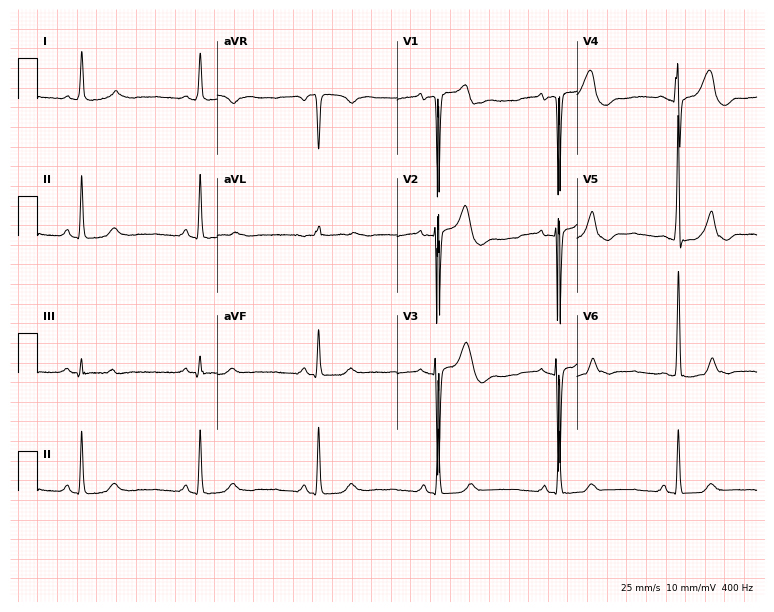
12-lead ECG from a 78-year-old male patient (7.3-second recording at 400 Hz). Recorded interpretation: within normal limits.